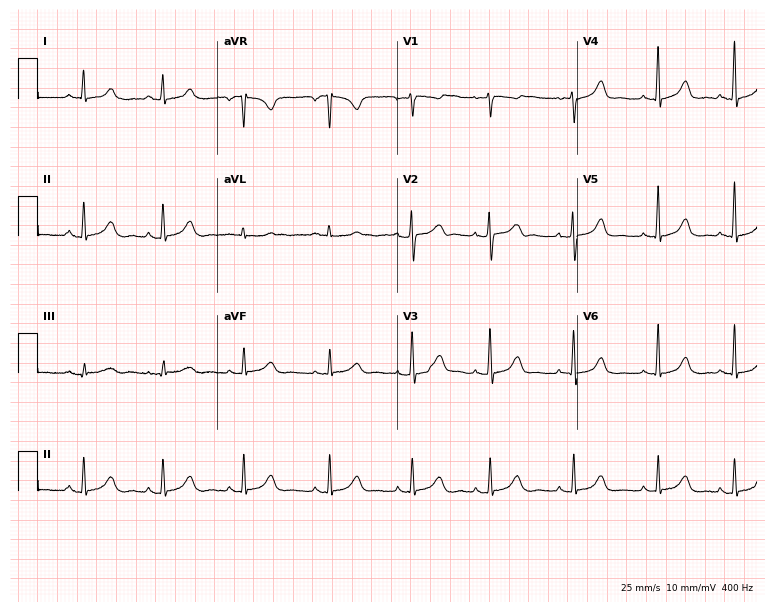
ECG (7.3-second recording at 400 Hz) — a female, 32 years old. Screened for six findings — first-degree AV block, right bundle branch block (RBBB), left bundle branch block (LBBB), sinus bradycardia, atrial fibrillation (AF), sinus tachycardia — none is recorded.